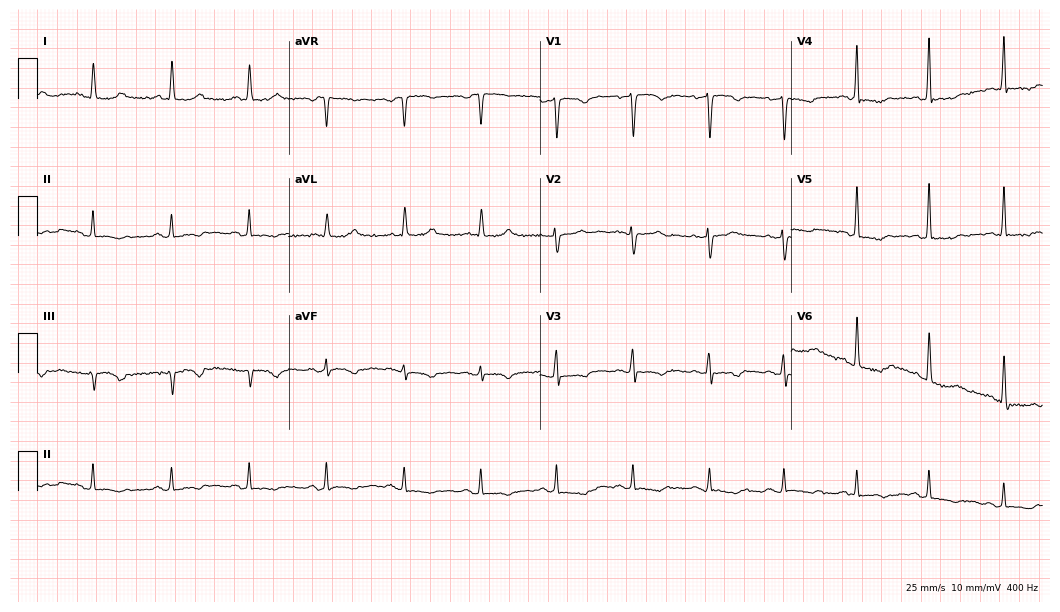
Resting 12-lead electrocardiogram. Patient: a 72-year-old female. None of these six findings is recorded: first-degree AV block, right bundle branch block, left bundle branch block, sinus bradycardia, atrial fibrillation, sinus tachycardia. Findings outside these six are not listed.